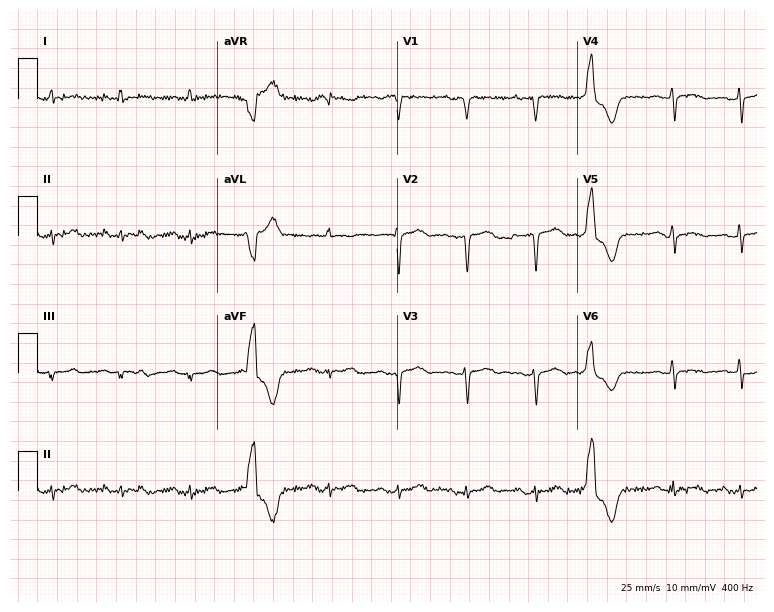
12-lead ECG from a male patient, 59 years old. Screened for six findings — first-degree AV block, right bundle branch block, left bundle branch block, sinus bradycardia, atrial fibrillation, sinus tachycardia — none is recorded. Findings outside these six are not listed.